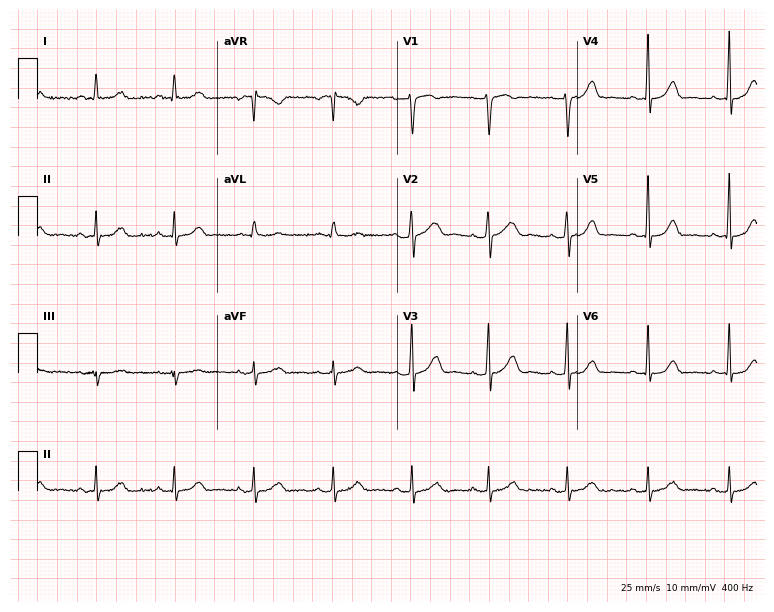
12-lead ECG from a 44-year-old female (7.3-second recording at 400 Hz). Recorded interpretation: within normal limits.